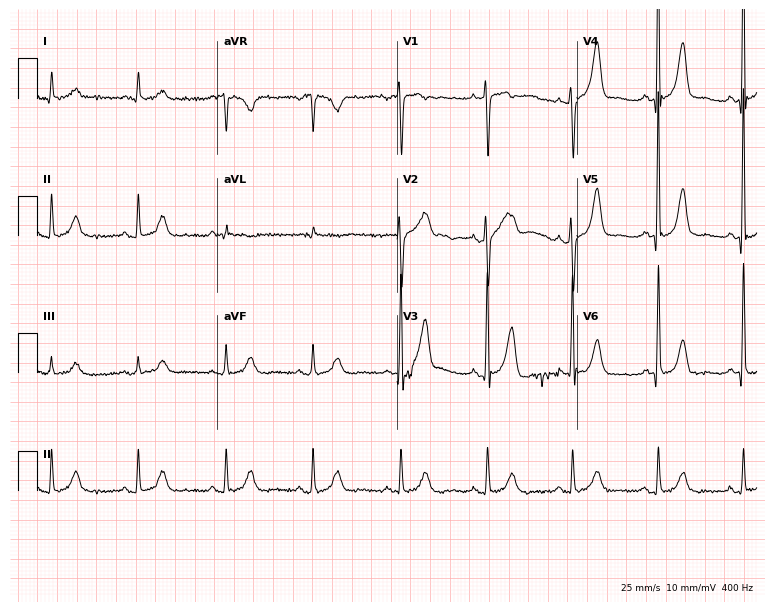
Resting 12-lead electrocardiogram. Patient: a 72-year-old man. Read as a normal ECG.